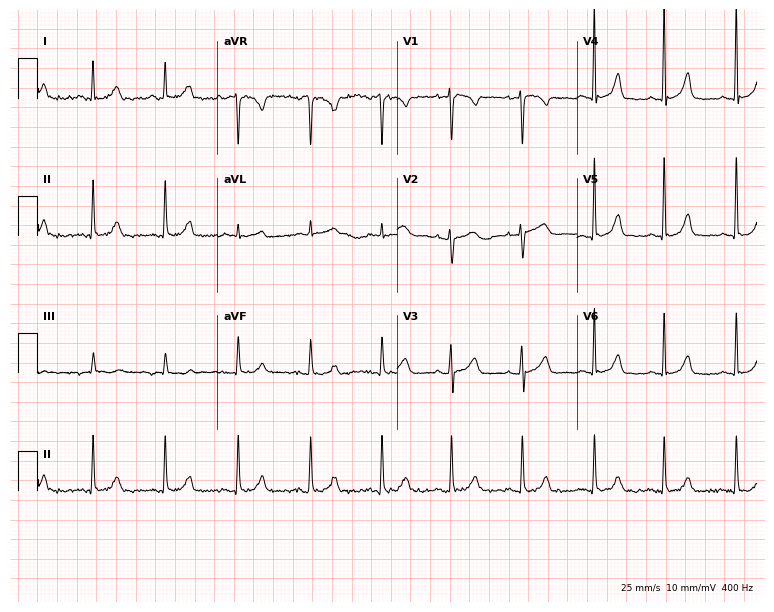
12-lead ECG (7.3-second recording at 400 Hz) from a woman, 44 years old. Labelled as a normal ECG.